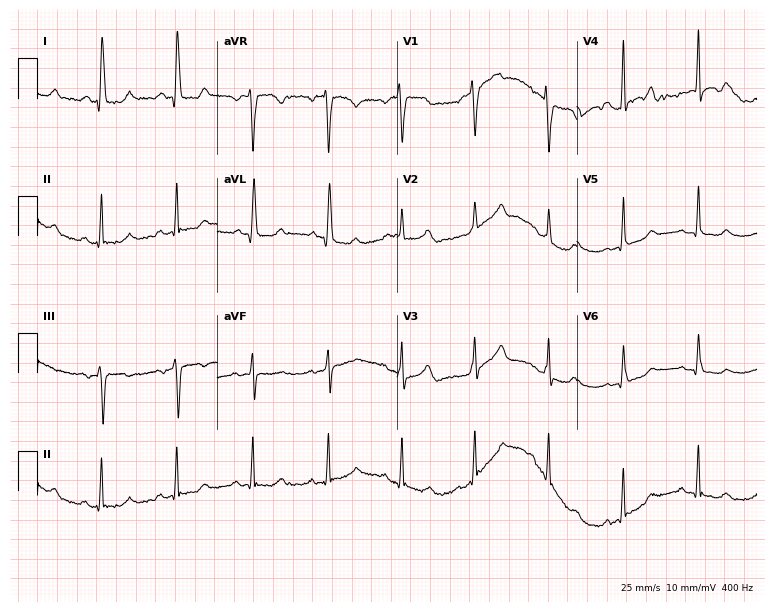
12-lead ECG from a female patient, 47 years old. Recorded interpretation: within normal limits.